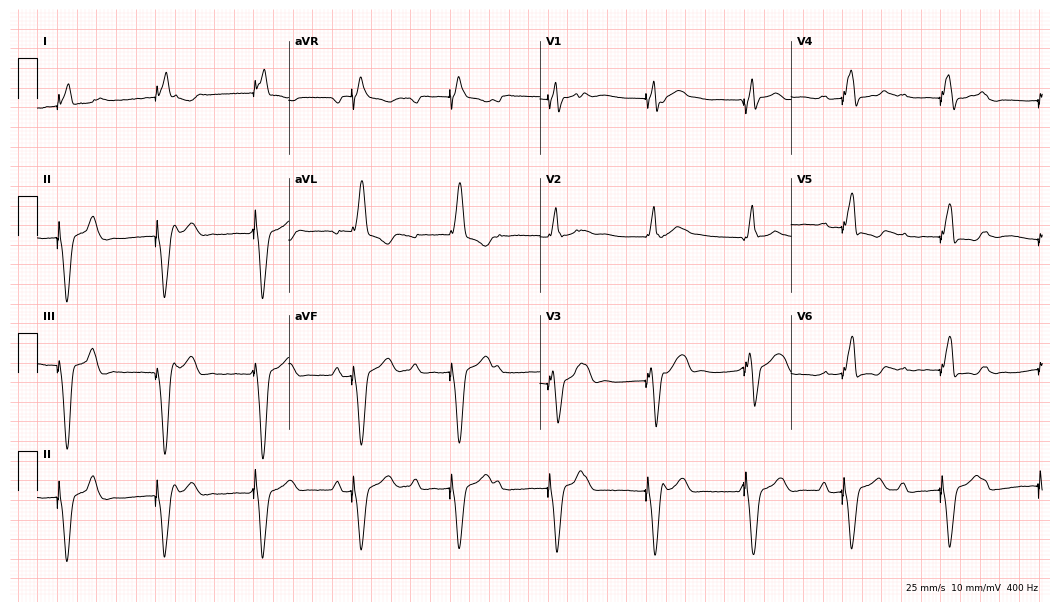
ECG (10.2-second recording at 400 Hz) — a male patient, 81 years old. Screened for six findings — first-degree AV block, right bundle branch block, left bundle branch block, sinus bradycardia, atrial fibrillation, sinus tachycardia — none is recorded.